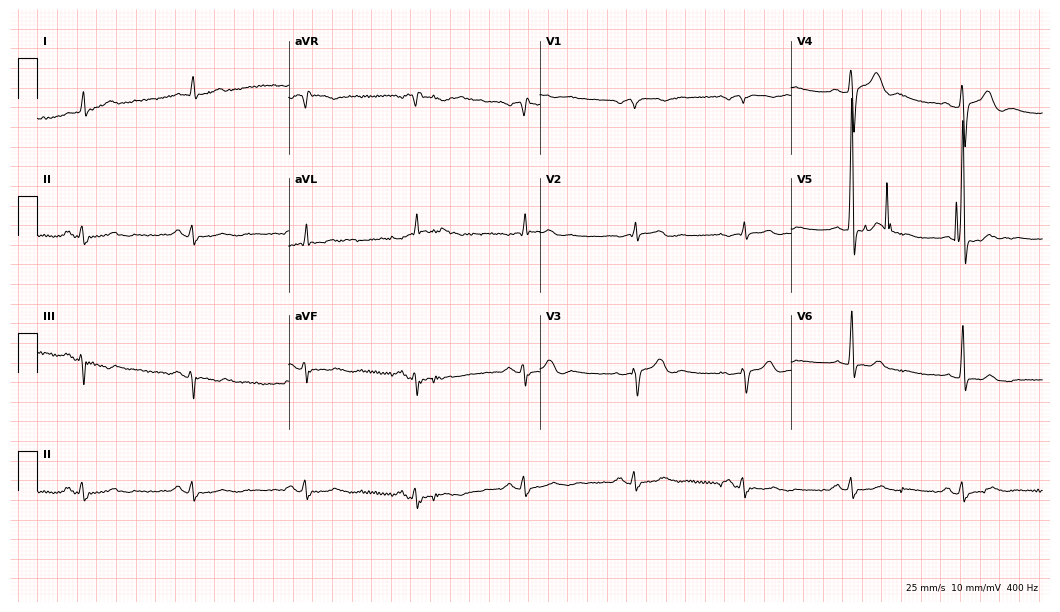
12-lead ECG from a male patient, 80 years old. No first-degree AV block, right bundle branch block (RBBB), left bundle branch block (LBBB), sinus bradycardia, atrial fibrillation (AF) or sinus tachycardia recorded for this tracing. Only these six findings were labelled.